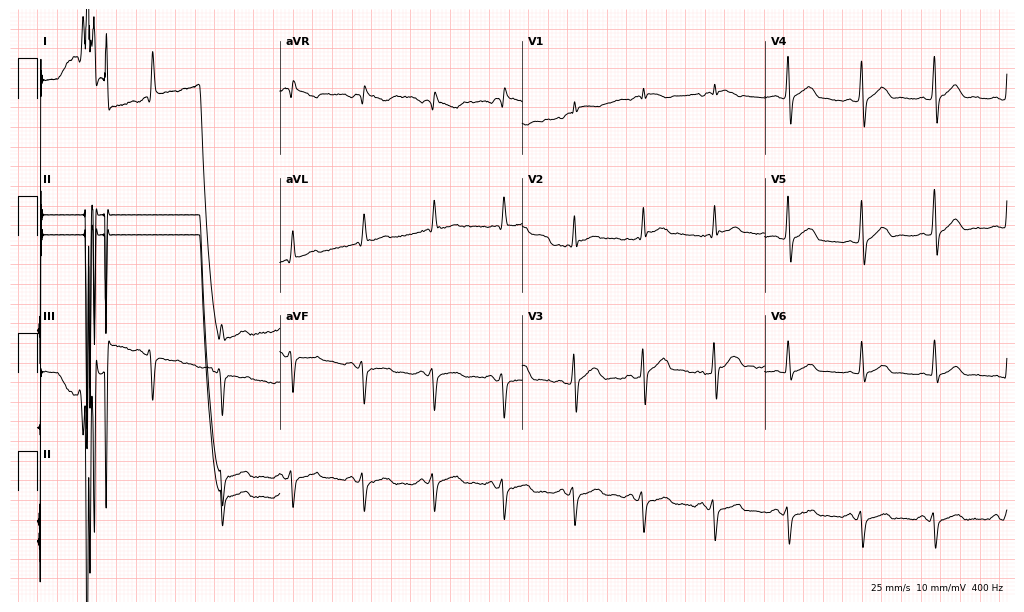
Standard 12-lead ECG recorded from a 77-year-old male patient. None of these six findings is recorded: first-degree AV block, right bundle branch block, left bundle branch block, sinus bradycardia, atrial fibrillation, sinus tachycardia. Other findings, if any, are not listed.